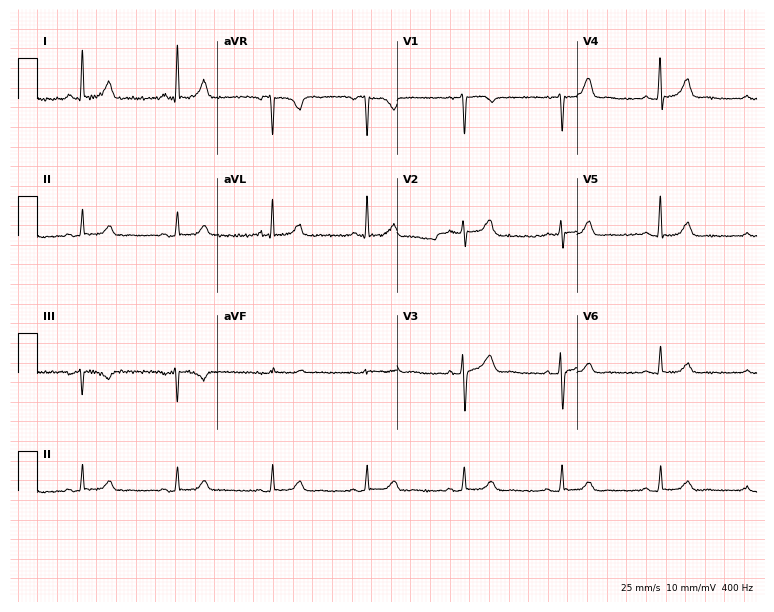
Resting 12-lead electrocardiogram (7.3-second recording at 400 Hz). Patient: a 51-year-old woman. Read as a normal ECG.